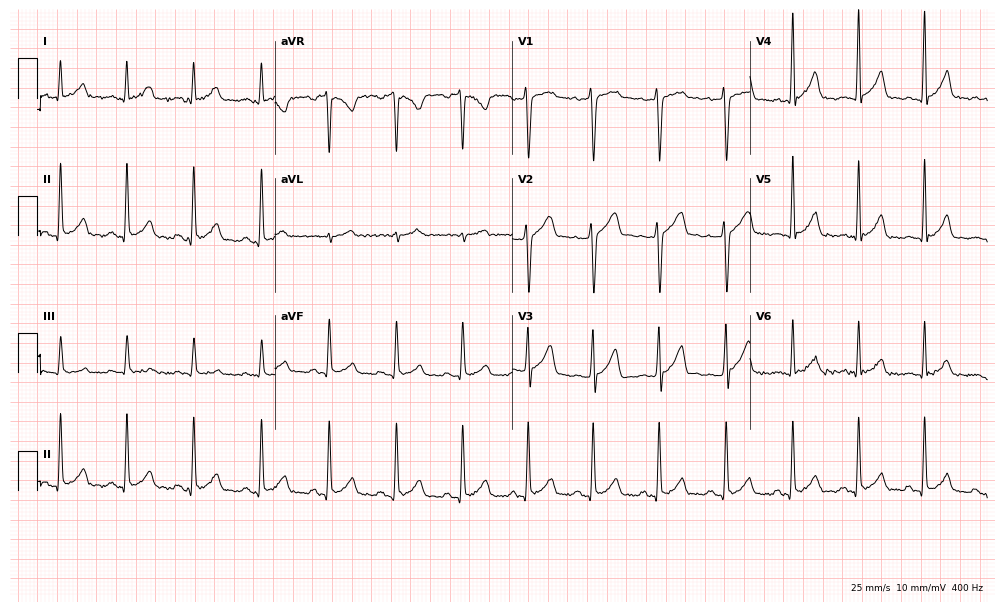
Electrocardiogram, a 34-year-old man. Overall reading on record: normal ECG.